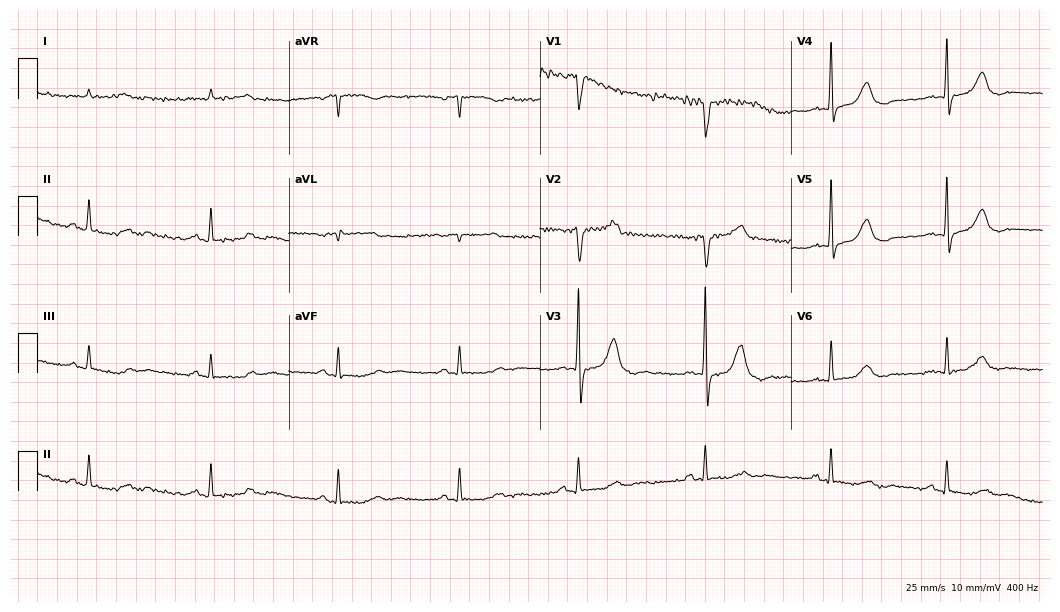
12-lead ECG from a man, 85 years old (10.2-second recording at 400 Hz). Shows sinus bradycardia (a sinus rate of 50 beats per minute or less).